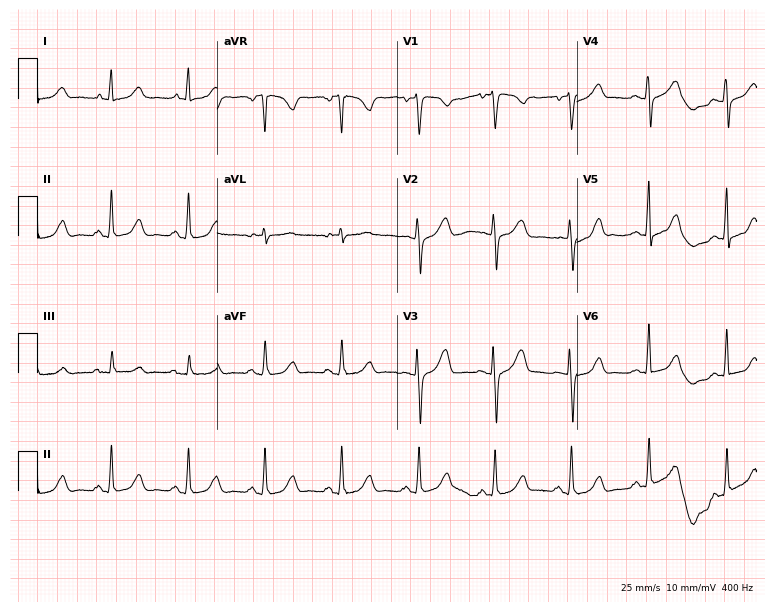
12-lead ECG (7.3-second recording at 400 Hz) from a 57-year-old woman. Labelled as a normal ECG.